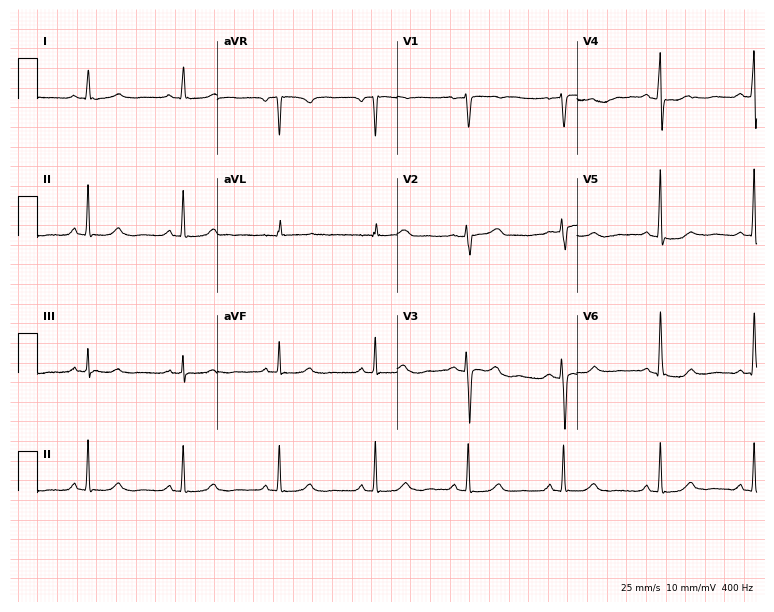
12-lead ECG (7.3-second recording at 400 Hz) from a female patient, 56 years old. Screened for six findings — first-degree AV block, right bundle branch block, left bundle branch block, sinus bradycardia, atrial fibrillation, sinus tachycardia — none is recorded. Only these six findings were labelled.